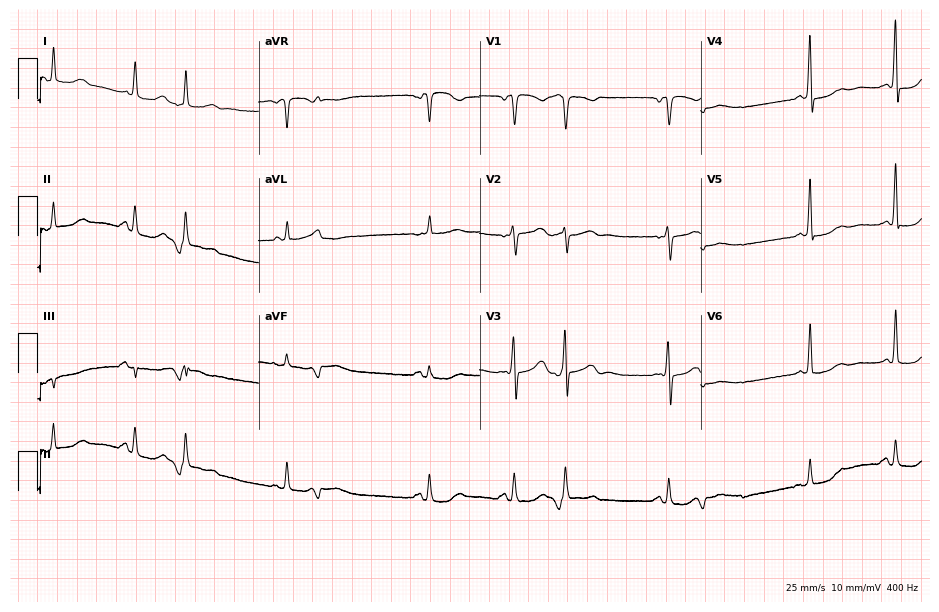
Resting 12-lead electrocardiogram. Patient: a female, 79 years old. None of these six findings is recorded: first-degree AV block, right bundle branch block, left bundle branch block, sinus bradycardia, atrial fibrillation, sinus tachycardia. Other findings, if any, are not listed.